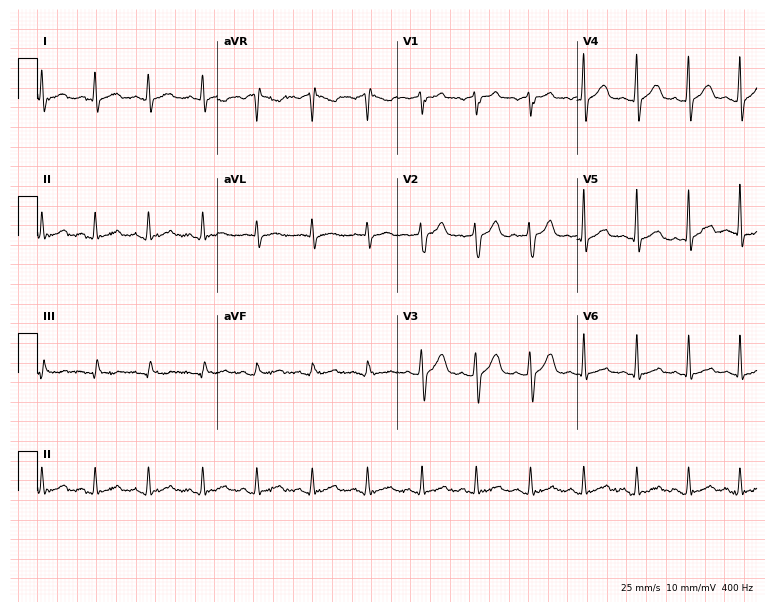
ECG — a male, 48 years old. Screened for six findings — first-degree AV block, right bundle branch block, left bundle branch block, sinus bradycardia, atrial fibrillation, sinus tachycardia — none is recorded. Findings outside these six are not listed.